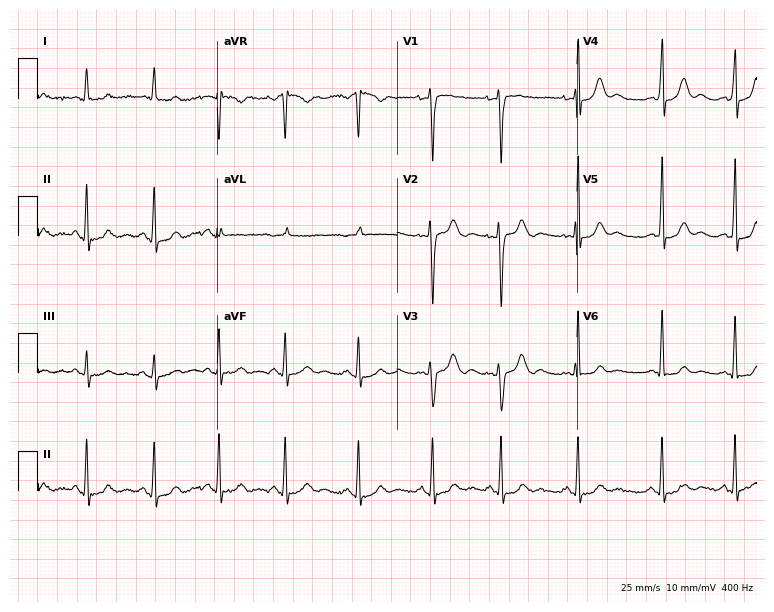
ECG (7.3-second recording at 400 Hz) — a 28-year-old female patient. Labelled as a normal ECG.